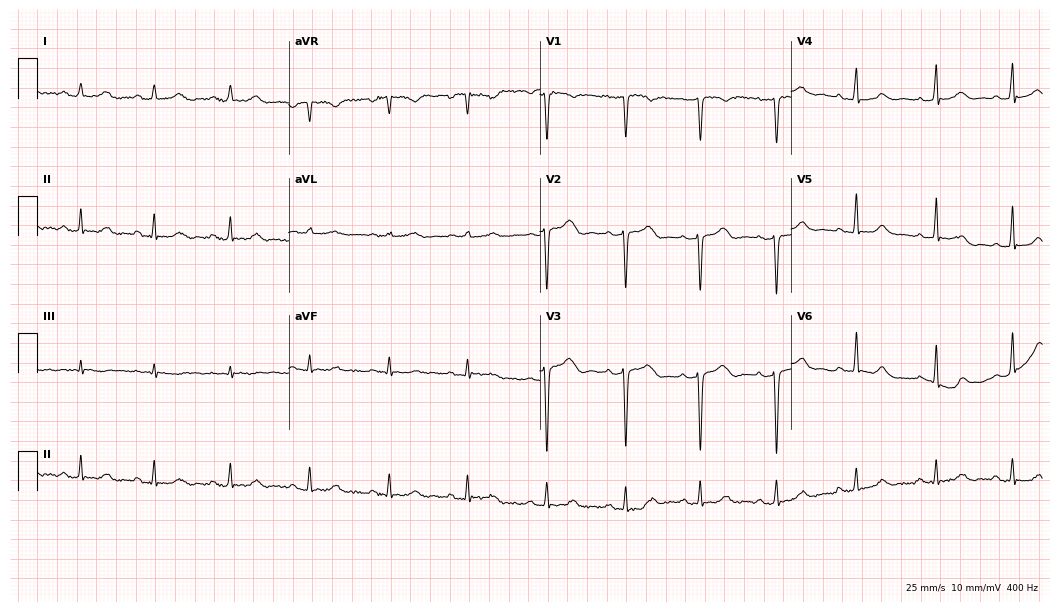
ECG (10.2-second recording at 400 Hz) — a 69-year-old female. Labelled as a normal ECG.